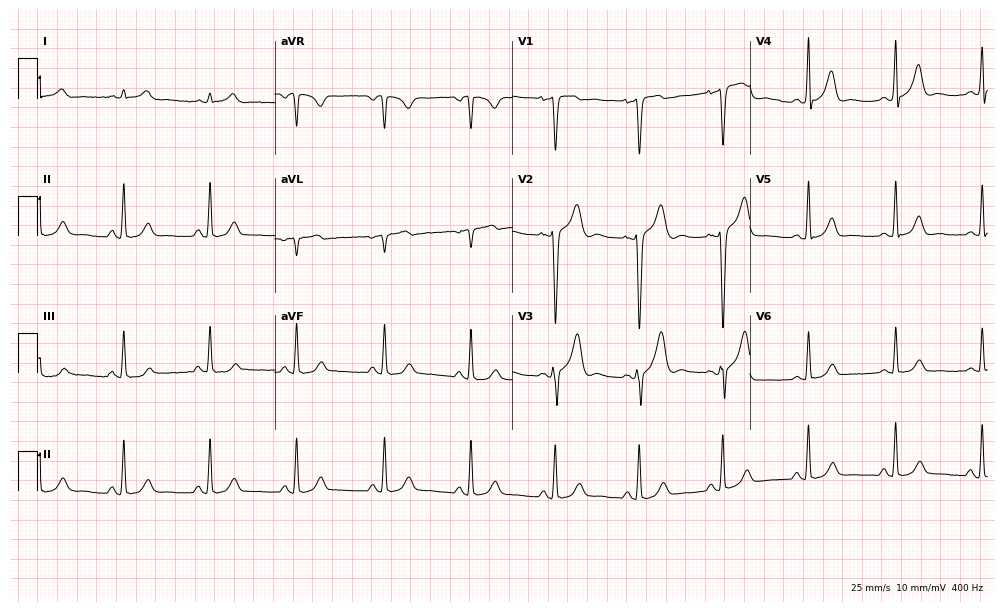
ECG — a male patient, 38 years old. Screened for six findings — first-degree AV block, right bundle branch block (RBBB), left bundle branch block (LBBB), sinus bradycardia, atrial fibrillation (AF), sinus tachycardia — none is recorded.